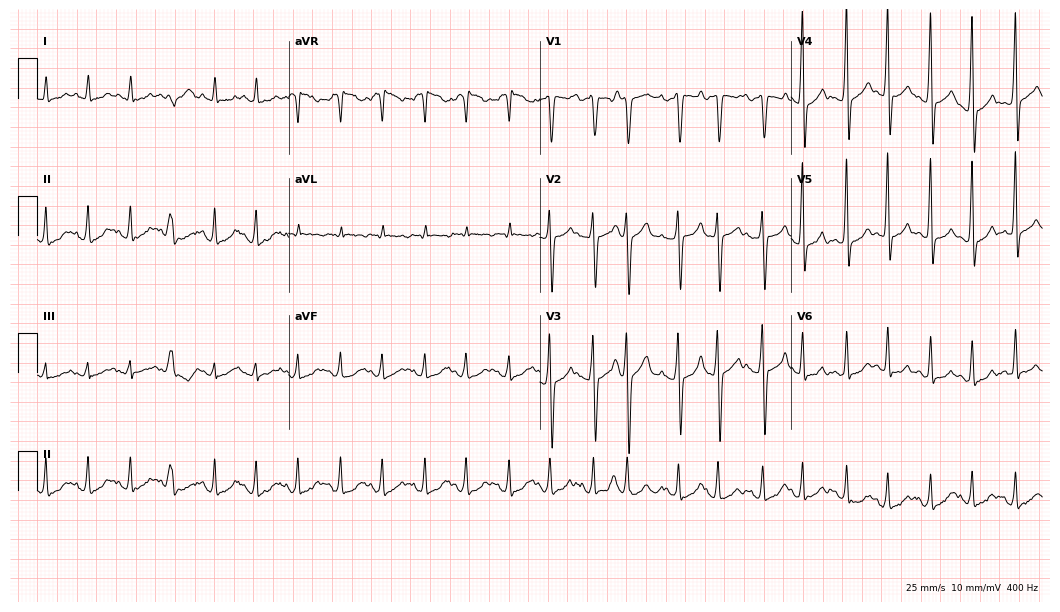
Electrocardiogram (10.2-second recording at 400 Hz), a man, 65 years old. Interpretation includes sinus tachycardia (a sinus rate of 100 beats per minute or more).